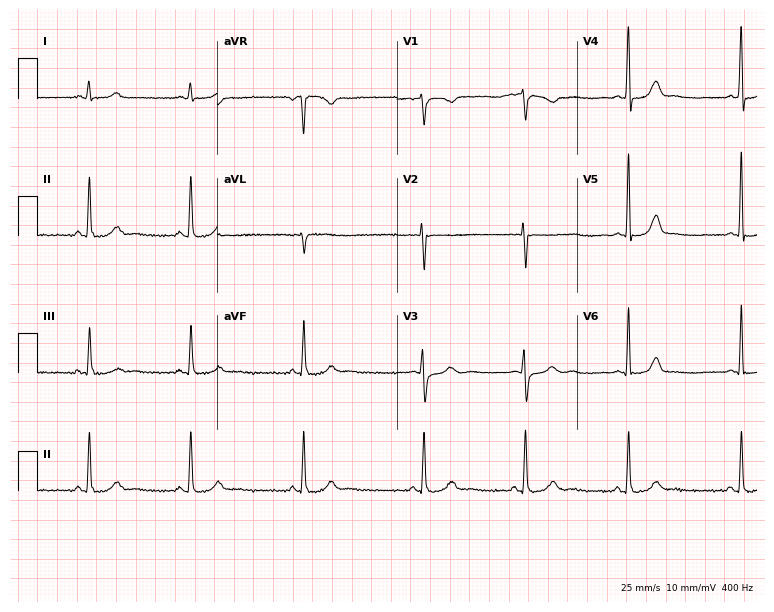
ECG (7.3-second recording at 400 Hz) — a 31-year-old female. Screened for six findings — first-degree AV block, right bundle branch block, left bundle branch block, sinus bradycardia, atrial fibrillation, sinus tachycardia — none is recorded.